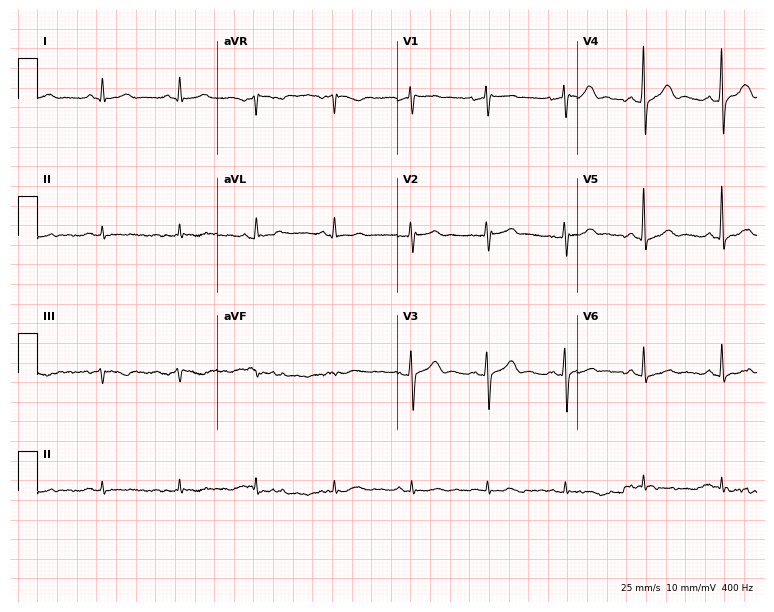
Electrocardiogram, a man, 48 years old. Overall reading on record: normal ECG.